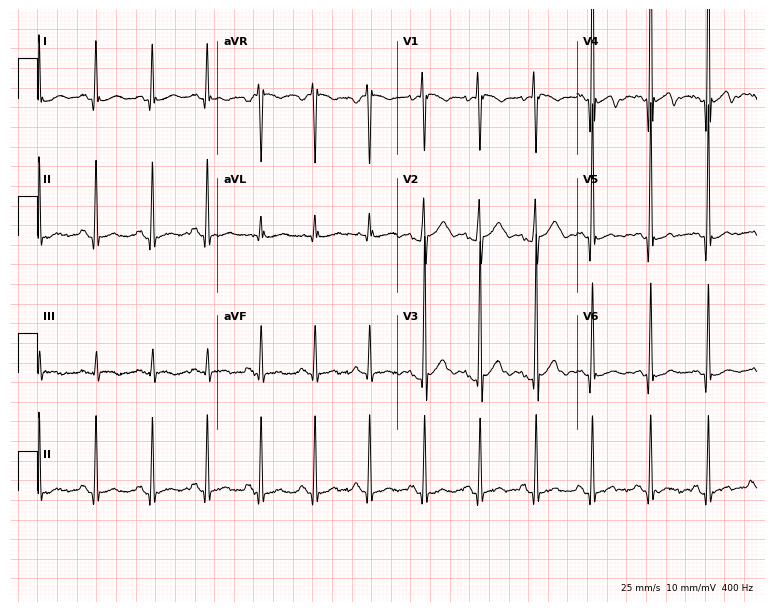
12-lead ECG from a 21-year-old male (7.3-second recording at 400 Hz). Recorded interpretation: within normal limits.